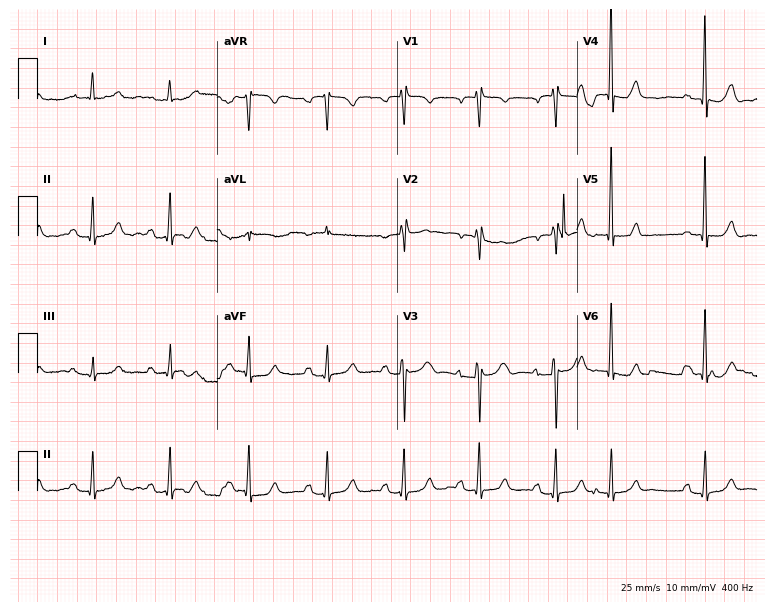
Resting 12-lead electrocardiogram (7.3-second recording at 400 Hz). Patient: a woman, 70 years old. None of these six findings is recorded: first-degree AV block, right bundle branch block, left bundle branch block, sinus bradycardia, atrial fibrillation, sinus tachycardia.